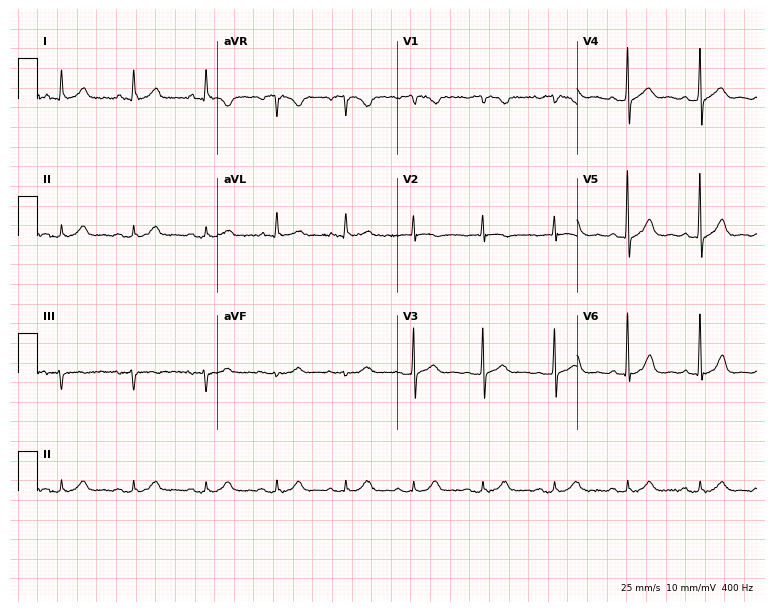
Standard 12-lead ECG recorded from a female patient, 63 years old. Read as a normal ECG.